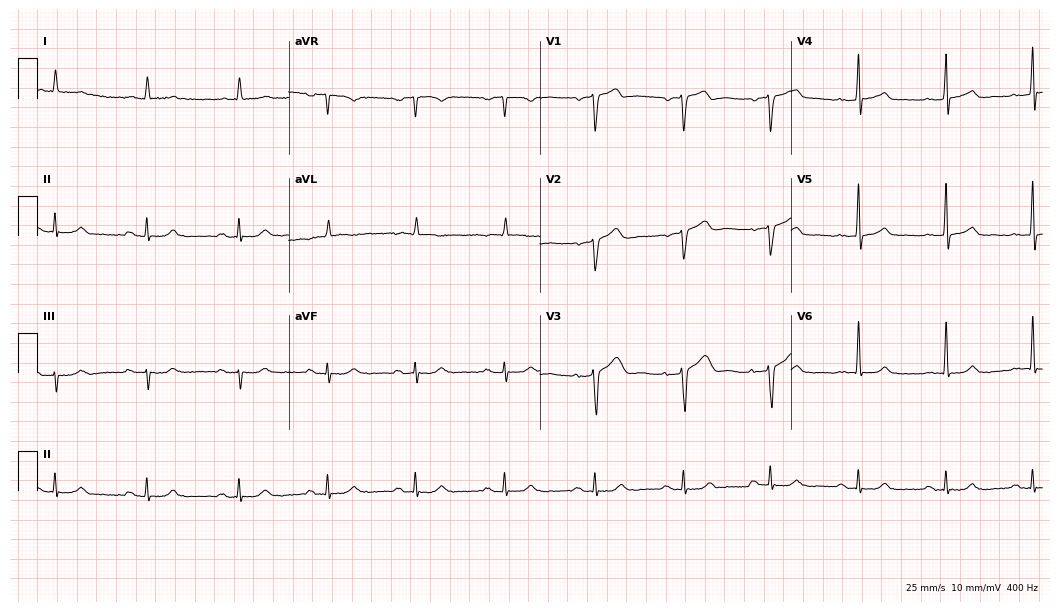
Resting 12-lead electrocardiogram (10.2-second recording at 400 Hz). Patient: a male, 60 years old. None of these six findings is recorded: first-degree AV block, right bundle branch block, left bundle branch block, sinus bradycardia, atrial fibrillation, sinus tachycardia.